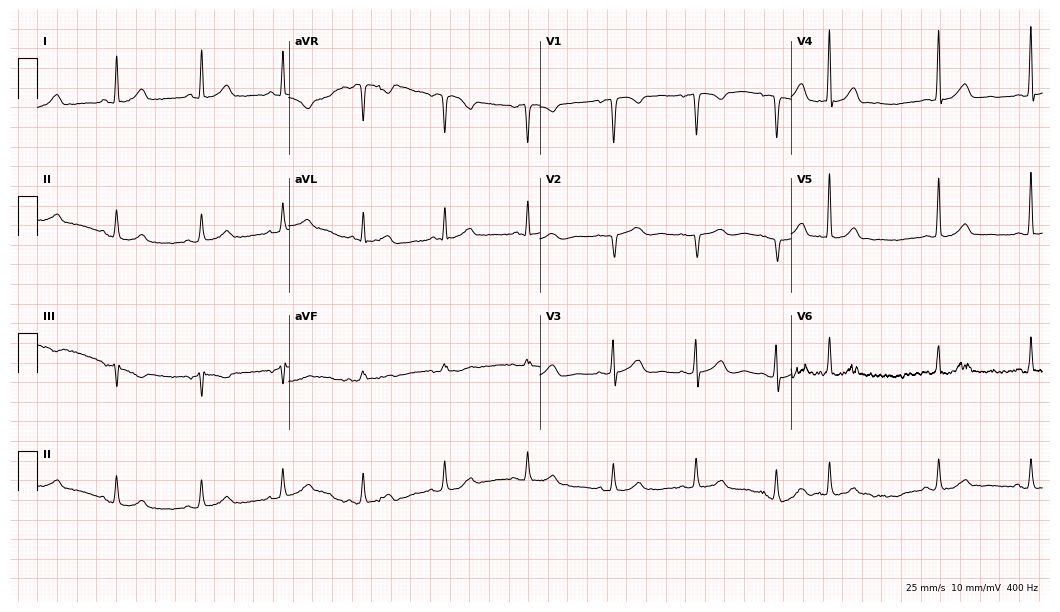
Resting 12-lead electrocardiogram. Patient: a female, 46 years old. None of these six findings is recorded: first-degree AV block, right bundle branch block, left bundle branch block, sinus bradycardia, atrial fibrillation, sinus tachycardia. Only these six findings were labelled.